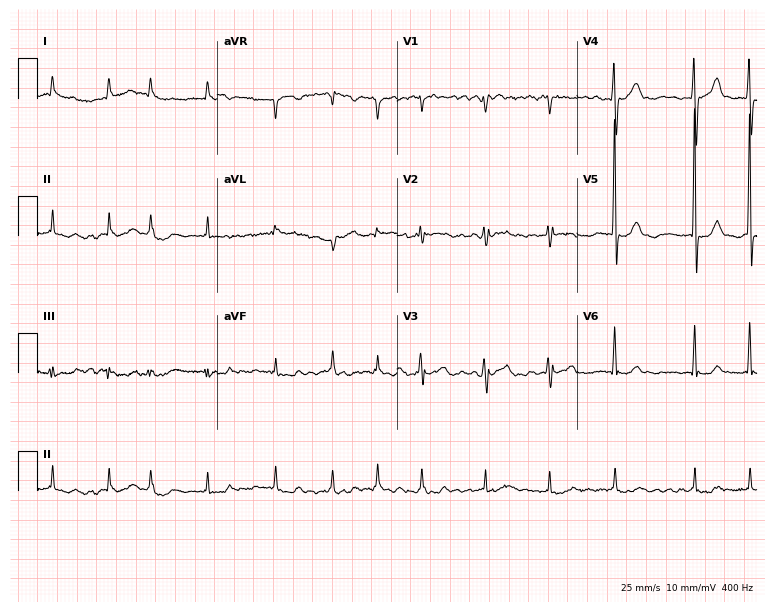
ECG (7.3-second recording at 400 Hz) — a female, 84 years old. Findings include atrial fibrillation (AF).